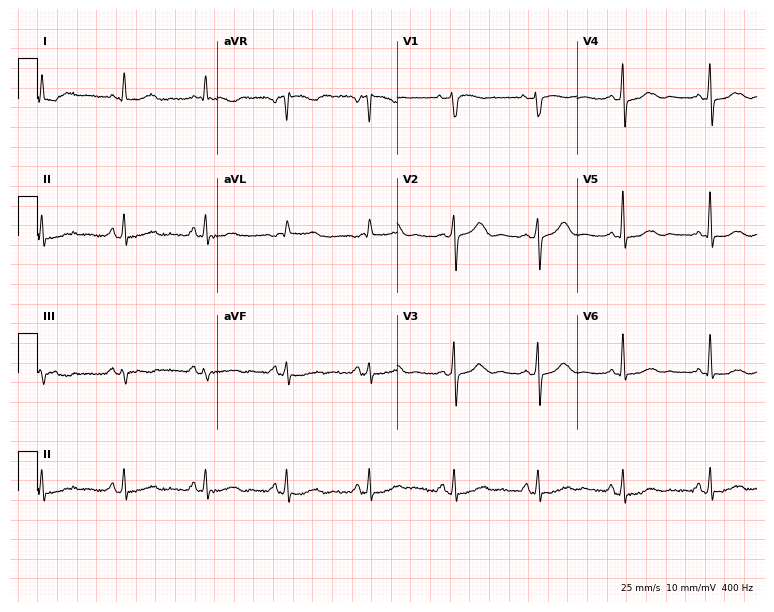
ECG — a female patient, 75 years old. Screened for six findings — first-degree AV block, right bundle branch block, left bundle branch block, sinus bradycardia, atrial fibrillation, sinus tachycardia — none is recorded.